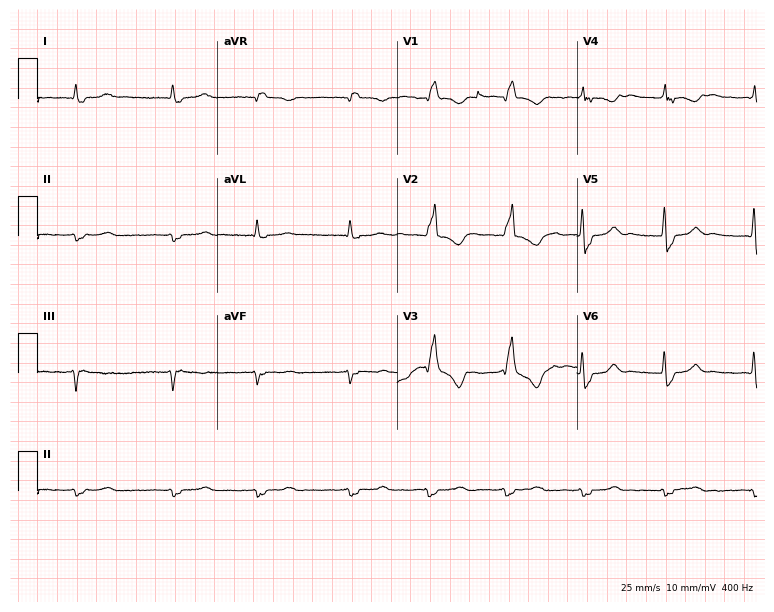
Resting 12-lead electrocardiogram. Patient: an 82-year-old male. The tracing shows right bundle branch block (RBBB), atrial fibrillation (AF).